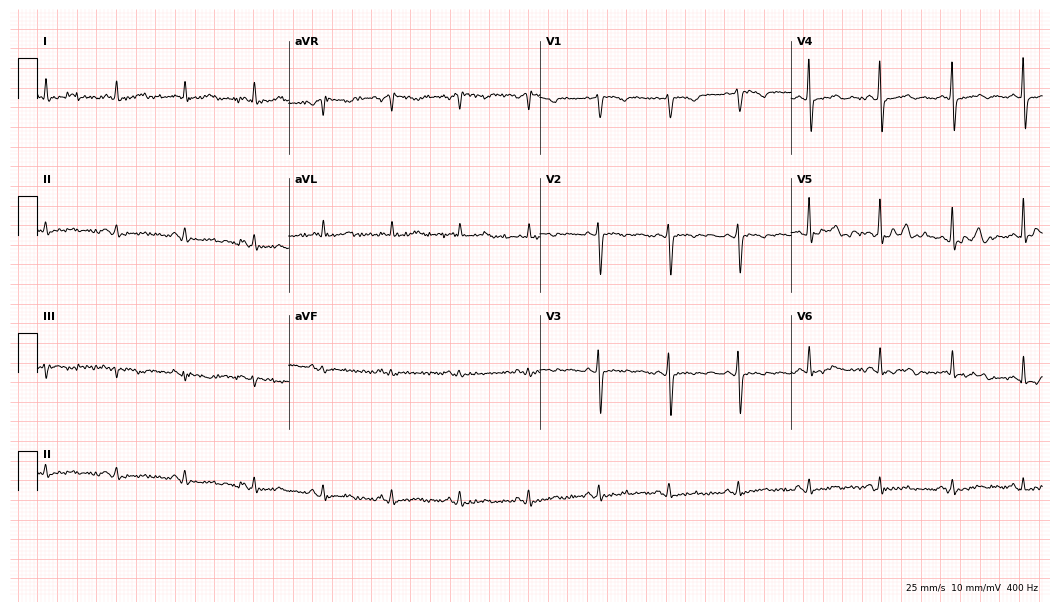
ECG — a 56-year-old female. Labelled as a normal ECG.